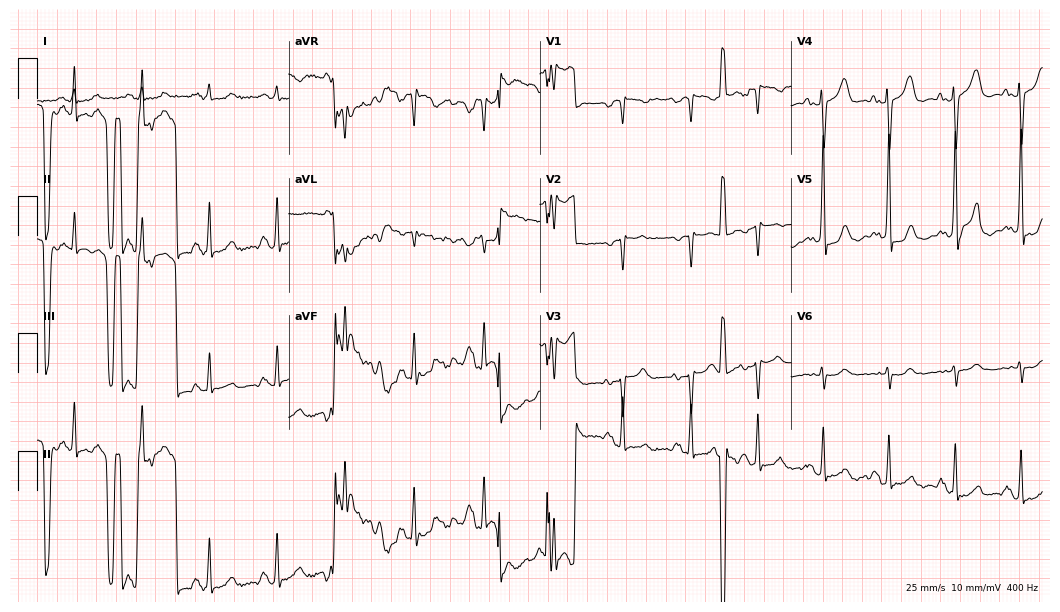
Standard 12-lead ECG recorded from a 47-year-old female (10.2-second recording at 400 Hz). None of these six findings is recorded: first-degree AV block, right bundle branch block, left bundle branch block, sinus bradycardia, atrial fibrillation, sinus tachycardia. Other findings, if any, are not listed.